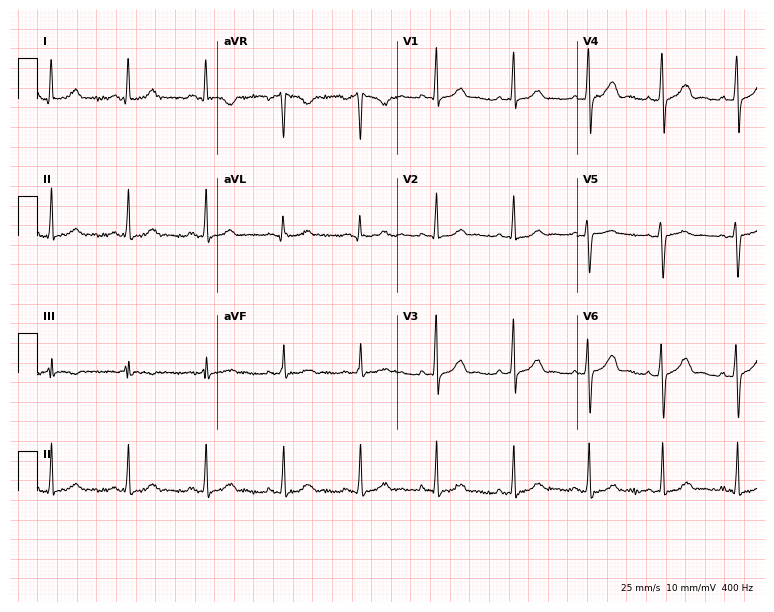
Resting 12-lead electrocardiogram (7.3-second recording at 400 Hz). Patient: a female, 39 years old. Read as a normal ECG.